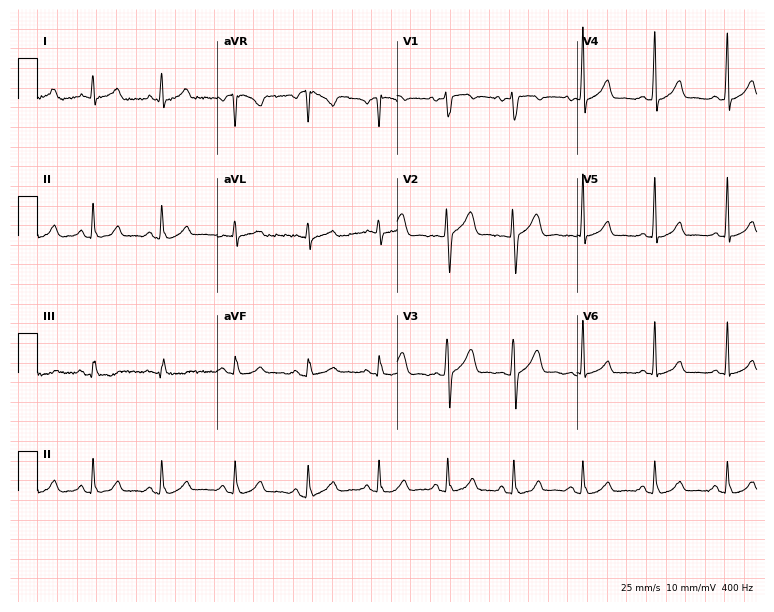
ECG (7.3-second recording at 400 Hz) — a 32-year-old male patient. Labelled as a normal ECG.